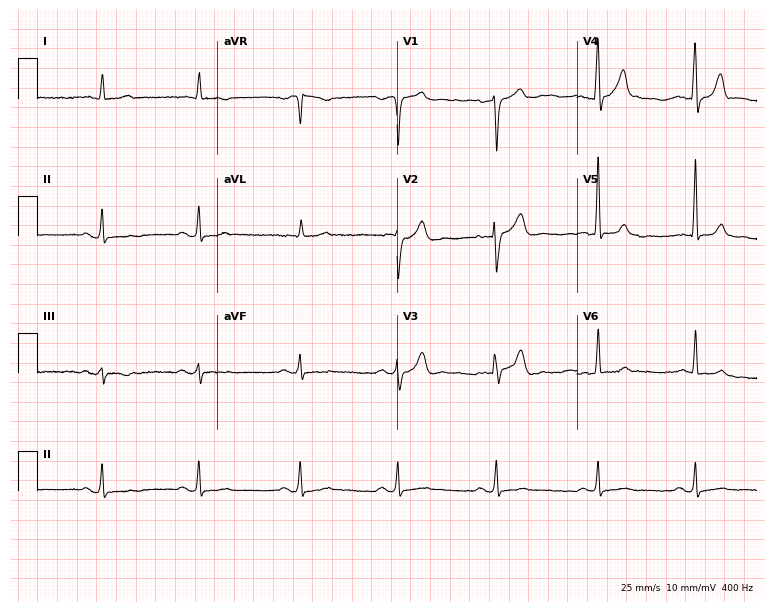
Standard 12-lead ECG recorded from a man, 84 years old (7.3-second recording at 400 Hz). None of these six findings is recorded: first-degree AV block, right bundle branch block, left bundle branch block, sinus bradycardia, atrial fibrillation, sinus tachycardia.